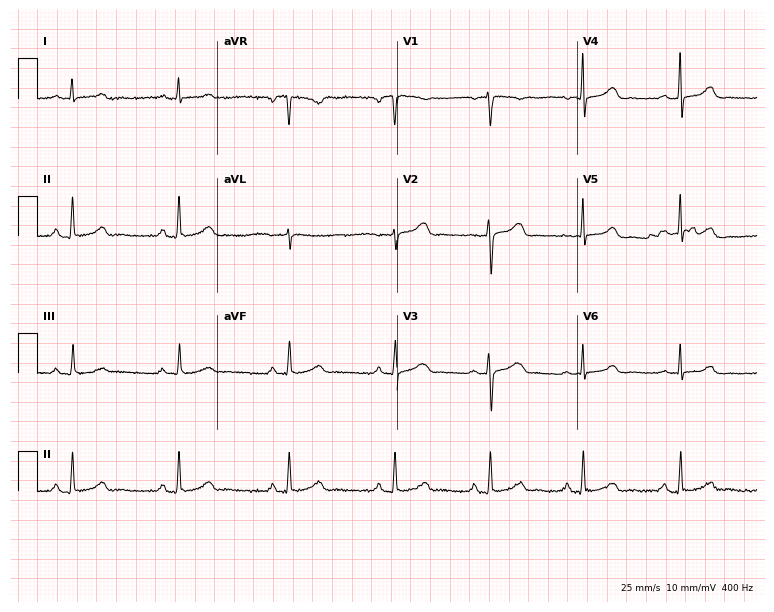
Electrocardiogram, a 34-year-old female patient. Overall reading on record: normal ECG.